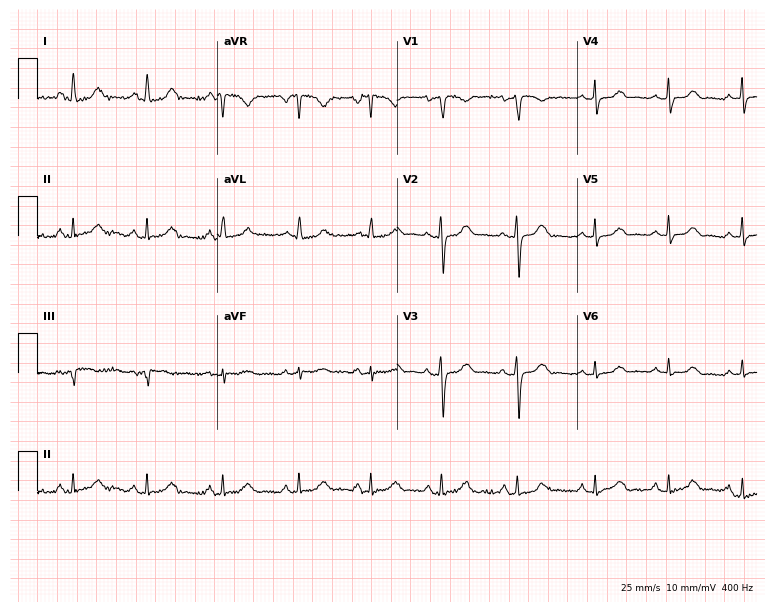
Electrocardiogram, a 41-year-old female patient. Overall reading on record: normal ECG.